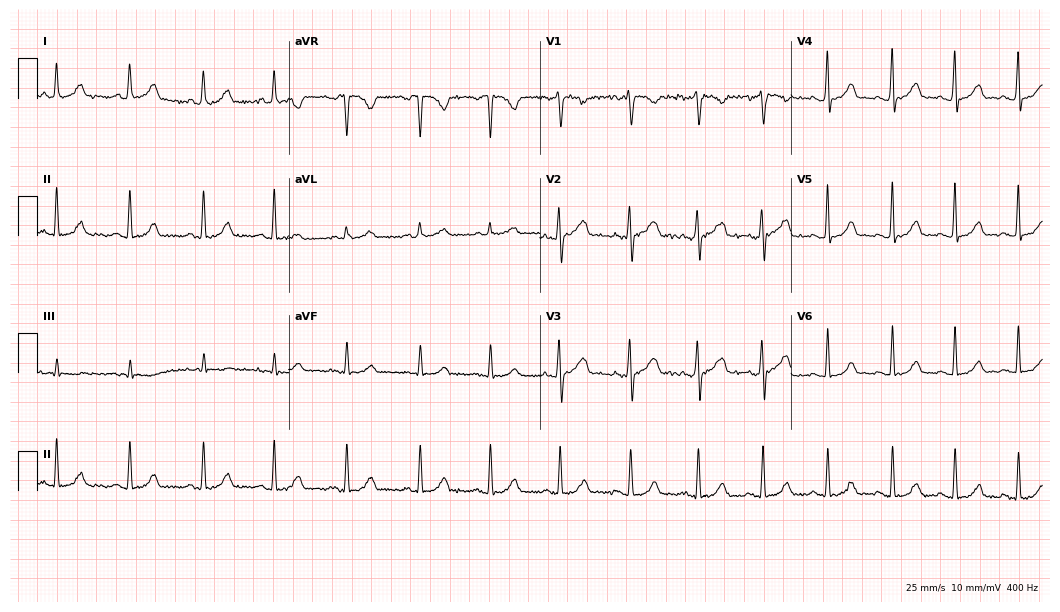
Resting 12-lead electrocardiogram (10.2-second recording at 400 Hz). Patient: a 20-year-old female. Read as a normal ECG.